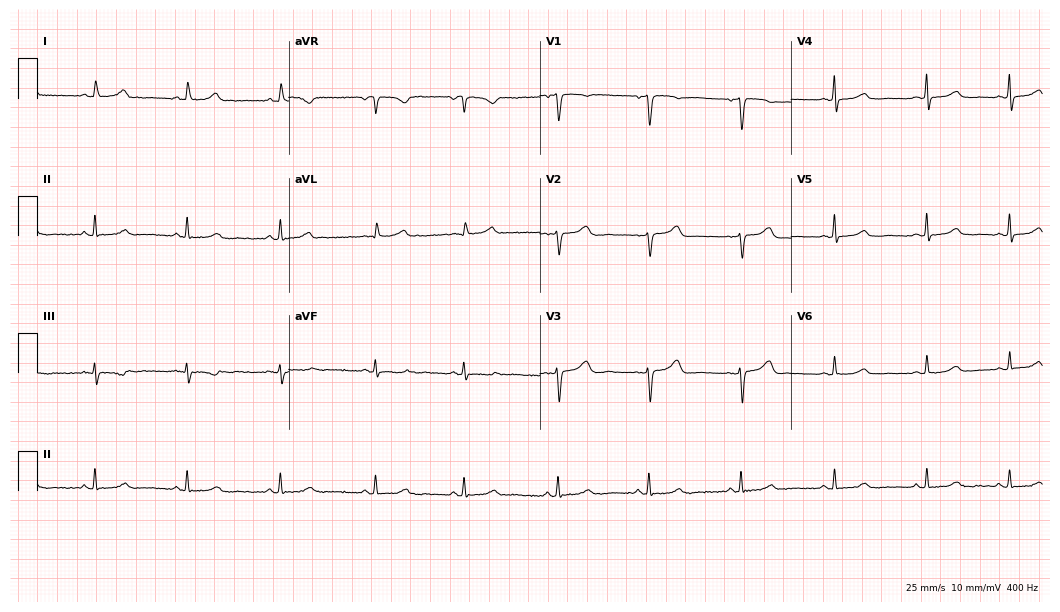
Electrocardiogram (10.2-second recording at 400 Hz), a 45-year-old female patient. Overall reading on record: normal ECG.